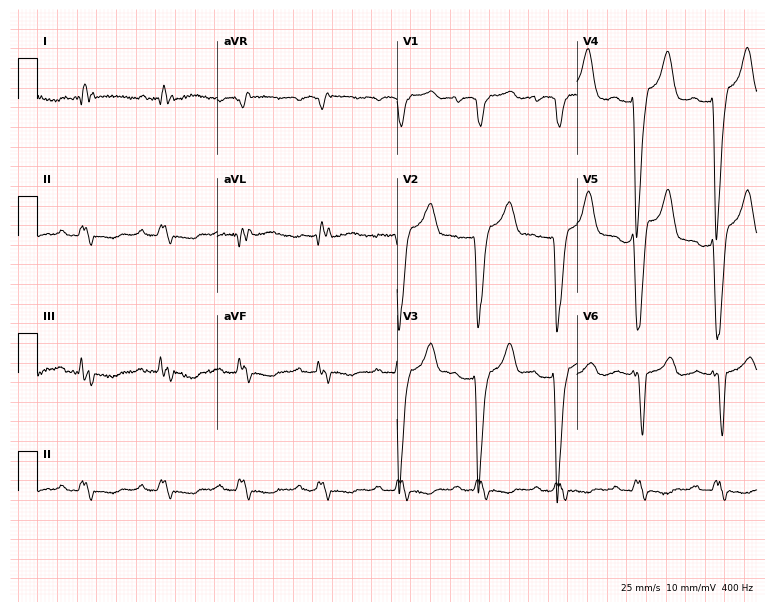
Resting 12-lead electrocardiogram (7.3-second recording at 400 Hz). Patient: a 62-year-old female. The tracing shows first-degree AV block, left bundle branch block.